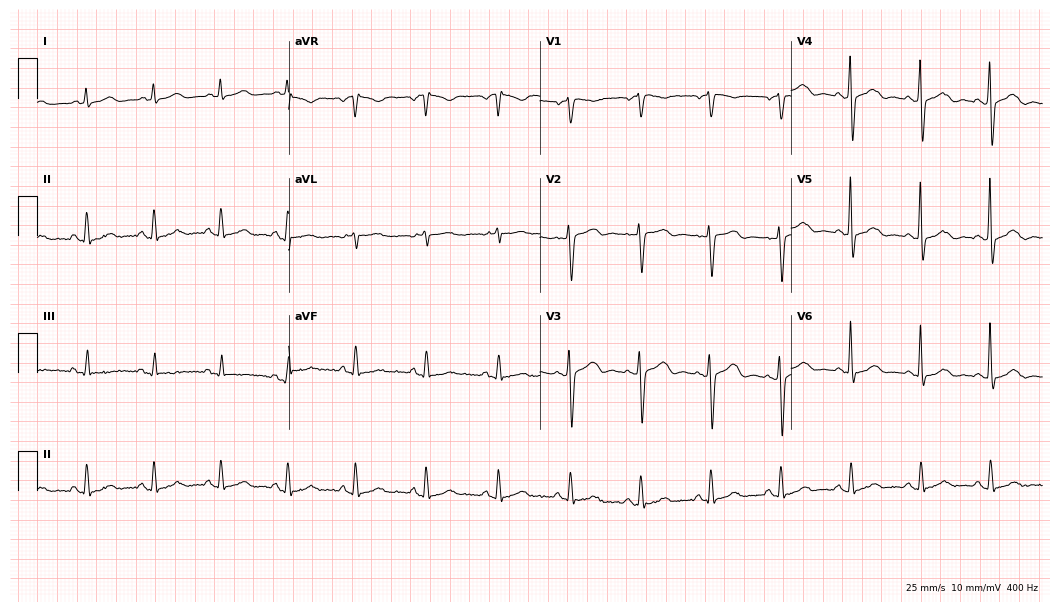
12-lead ECG from a woman, 66 years old. Screened for six findings — first-degree AV block, right bundle branch block, left bundle branch block, sinus bradycardia, atrial fibrillation, sinus tachycardia — none is recorded.